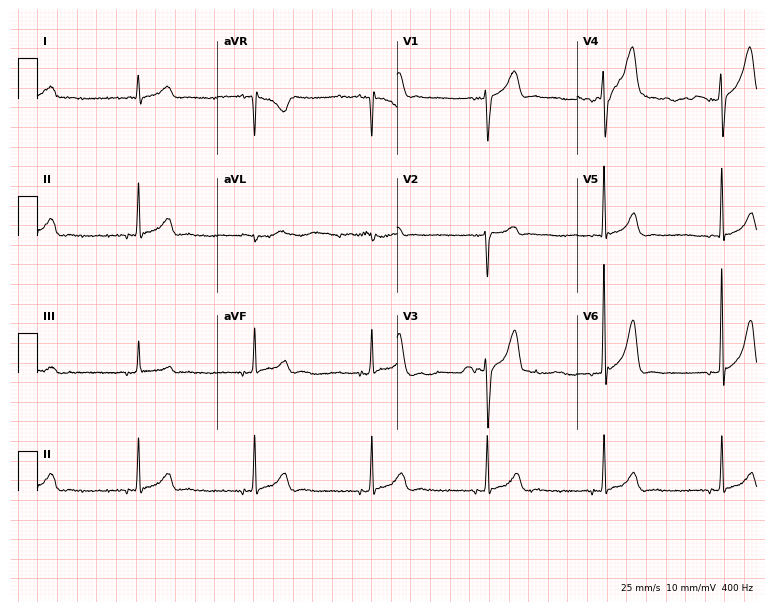
Resting 12-lead electrocardiogram (7.3-second recording at 400 Hz). Patient: a man, 60 years old. None of these six findings is recorded: first-degree AV block, right bundle branch block (RBBB), left bundle branch block (LBBB), sinus bradycardia, atrial fibrillation (AF), sinus tachycardia.